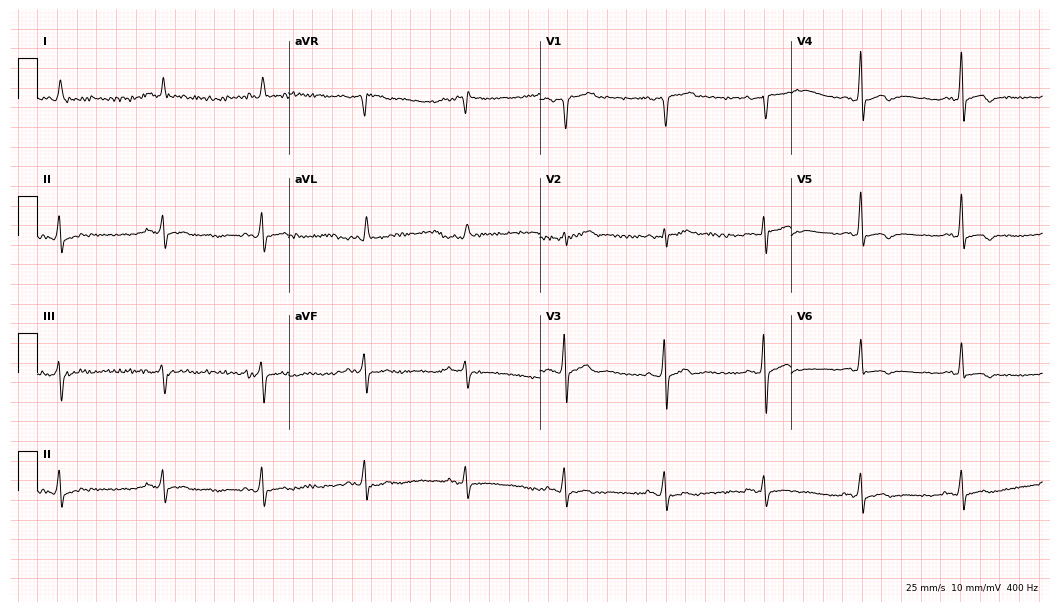
ECG — a male, 66 years old. Screened for six findings — first-degree AV block, right bundle branch block (RBBB), left bundle branch block (LBBB), sinus bradycardia, atrial fibrillation (AF), sinus tachycardia — none is recorded.